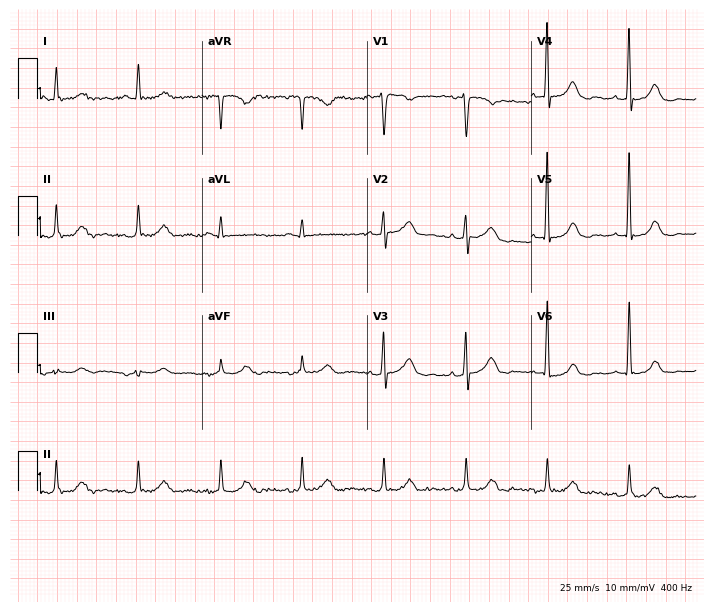
Resting 12-lead electrocardiogram. Patient: a 62-year-old female. Read as a normal ECG.